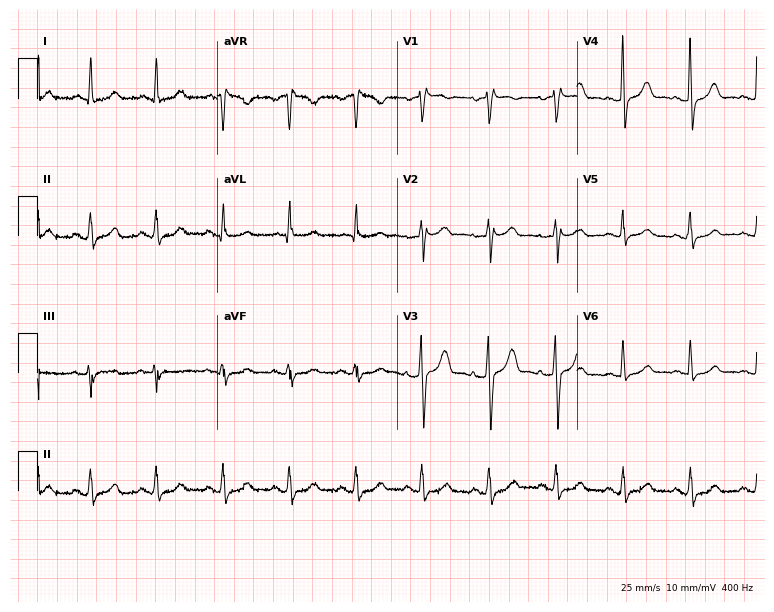
Electrocardiogram (7.3-second recording at 400 Hz), a female patient, 71 years old. Overall reading on record: normal ECG.